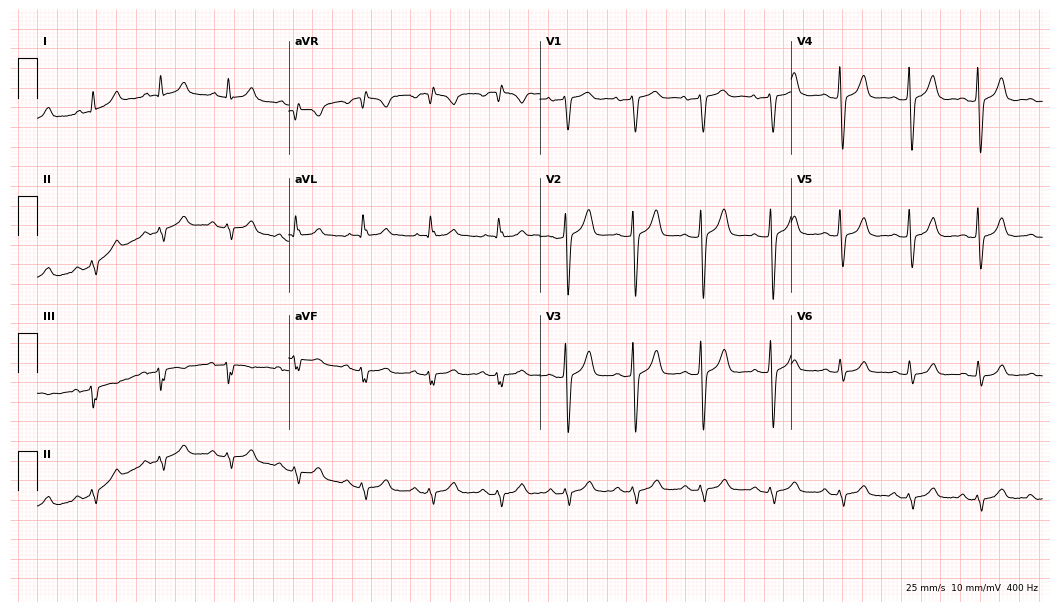
12-lead ECG from a 72-year-old male patient. No first-degree AV block, right bundle branch block, left bundle branch block, sinus bradycardia, atrial fibrillation or sinus tachycardia recorded for this tracing.